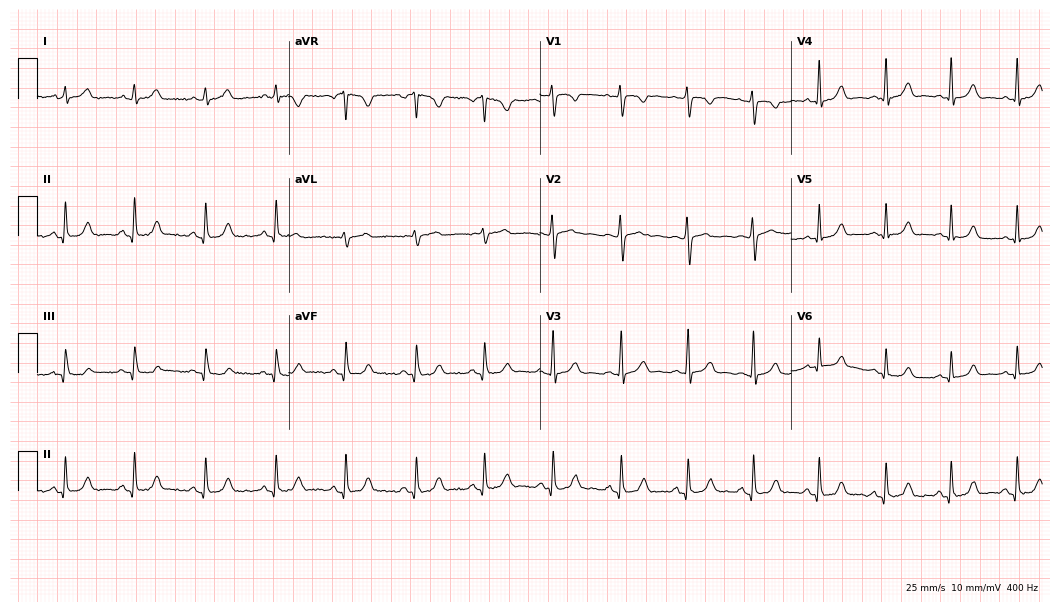
12-lead ECG from a woman, 29 years old. Recorded interpretation: within normal limits.